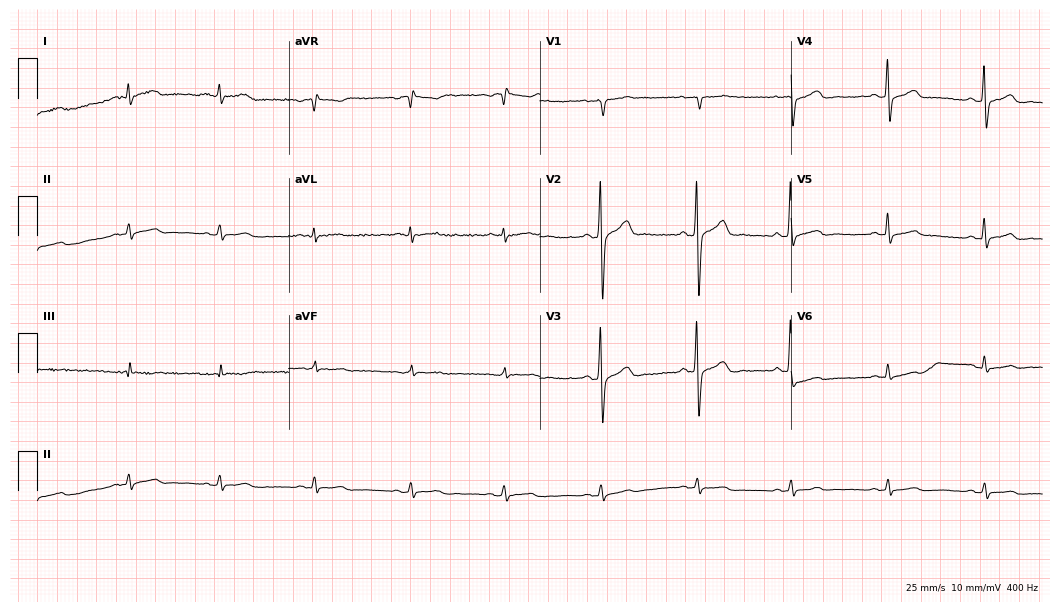
12-lead ECG from a 47-year-old man. Screened for six findings — first-degree AV block, right bundle branch block, left bundle branch block, sinus bradycardia, atrial fibrillation, sinus tachycardia — none is recorded. Only these six findings were labelled.